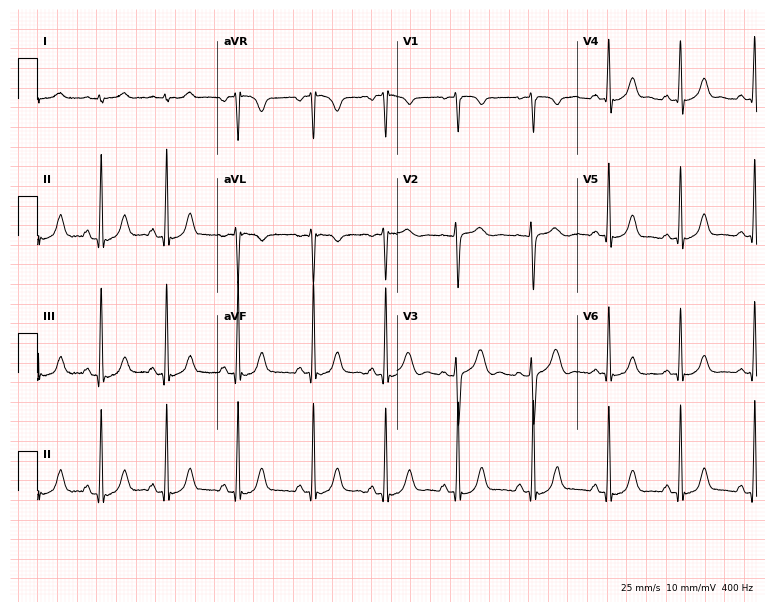
ECG — a 28-year-old female patient. Labelled as a normal ECG.